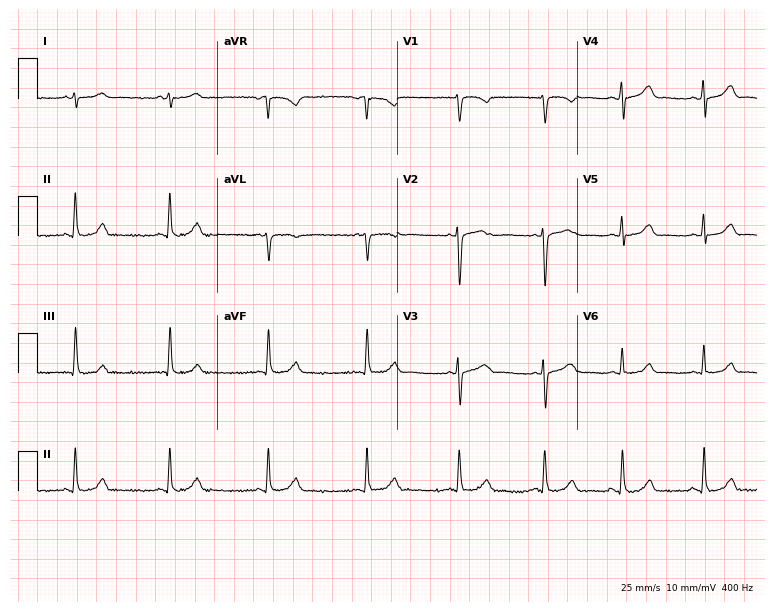
Standard 12-lead ECG recorded from a woman, 19 years old. None of these six findings is recorded: first-degree AV block, right bundle branch block, left bundle branch block, sinus bradycardia, atrial fibrillation, sinus tachycardia.